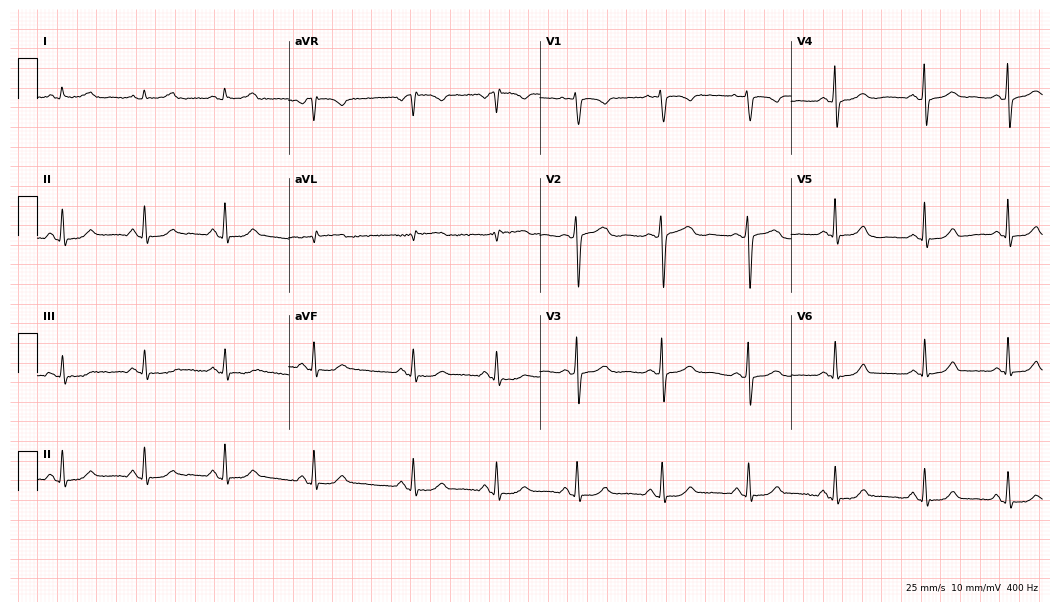
Resting 12-lead electrocardiogram. Patient: a female, 30 years old. Read as a normal ECG.